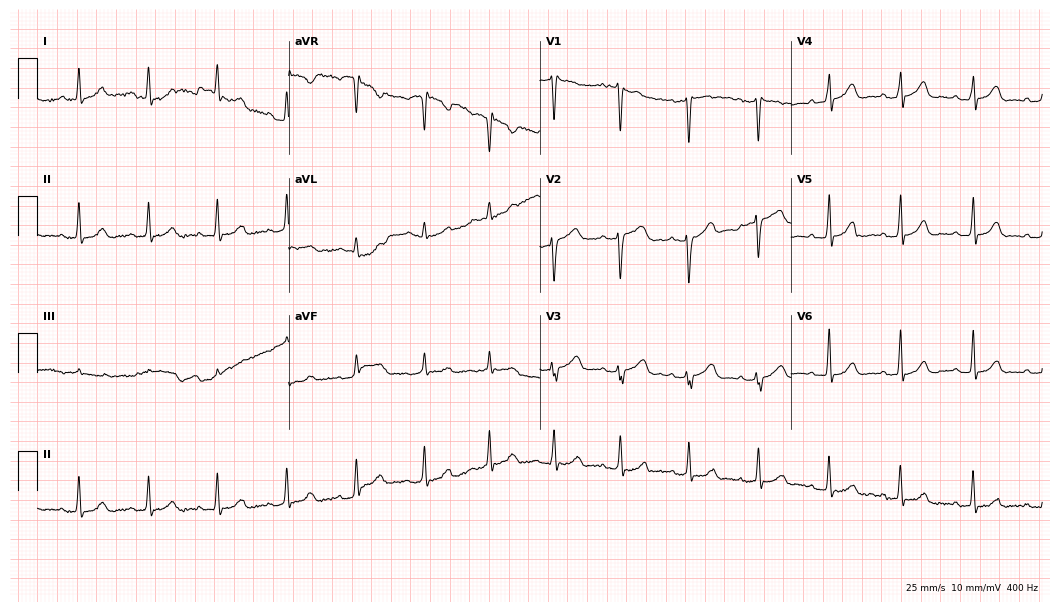
ECG — a 39-year-old woman. Screened for six findings — first-degree AV block, right bundle branch block, left bundle branch block, sinus bradycardia, atrial fibrillation, sinus tachycardia — none is recorded.